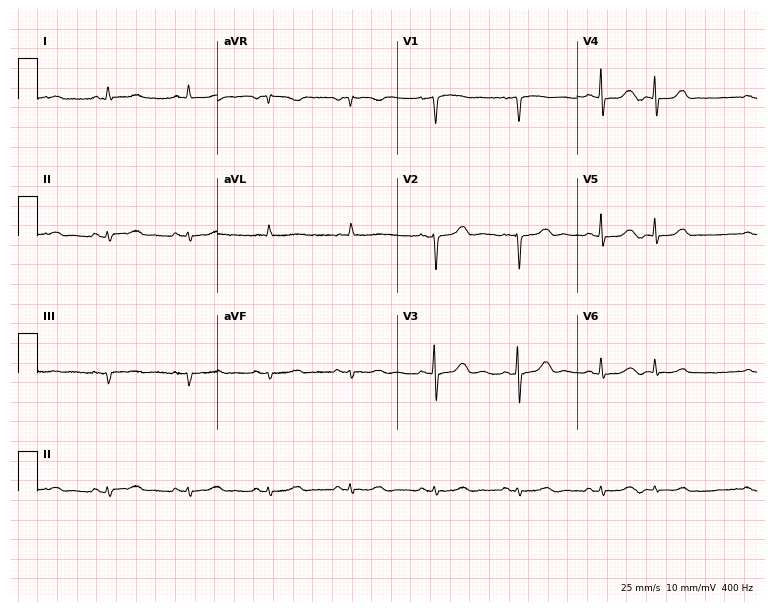
12-lead ECG from an 81-year-old female patient (7.3-second recording at 400 Hz). No first-degree AV block, right bundle branch block (RBBB), left bundle branch block (LBBB), sinus bradycardia, atrial fibrillation (AF) or sinus tachycardia recorded for this tracing. Other findings, if any, are not listed.